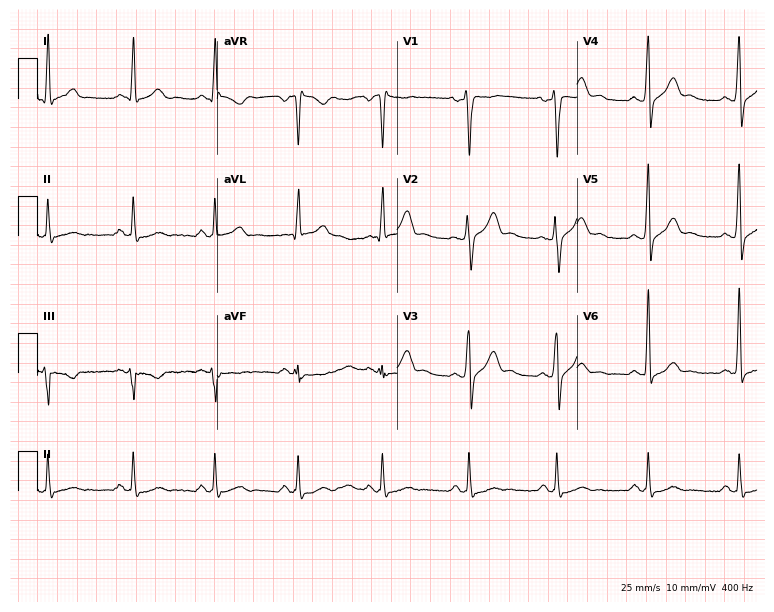
Resting 12-lead electrocardiogram (7.3-second recording at 400 Hz). Patient: a 42-year-old male. None of these six findings is recorded: first-degree AV block, right bundle branch block, left bundle branch block, sinus bradycardia, atrial fibrillation, sinus tachycardia.